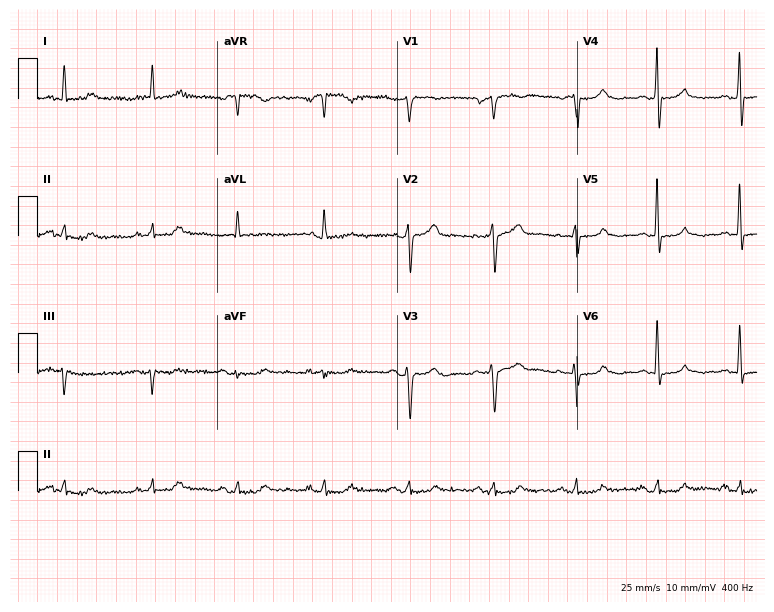
Standard 12-lead ECG recorded from a man, 77 years old. Read as a normal ECG.